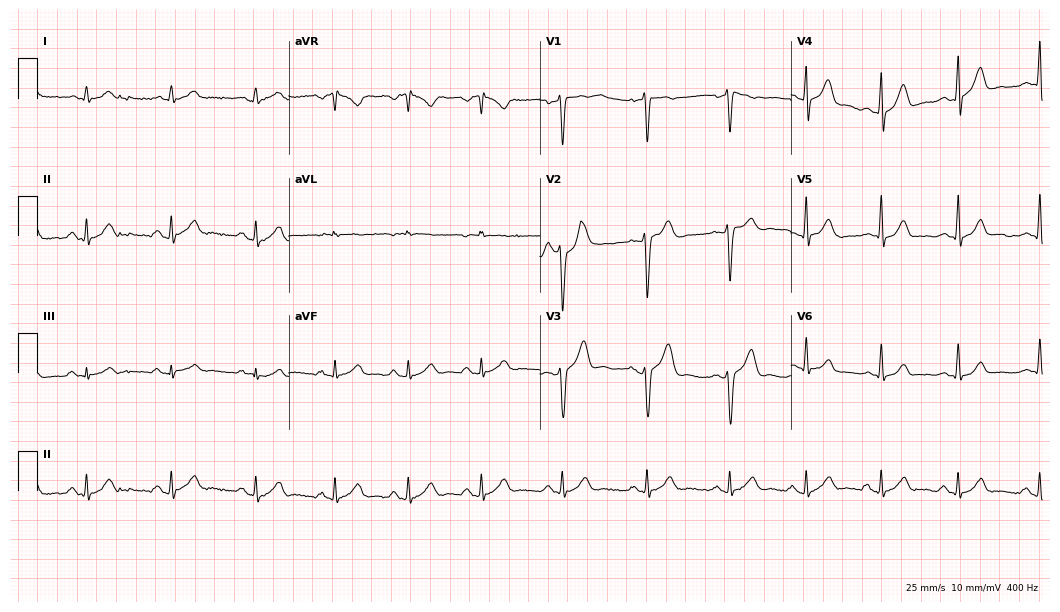
Electrocardiogram (10.2-second recording at 400 Hz), a 33-year-old male. Overall reading on record: normal ECG.